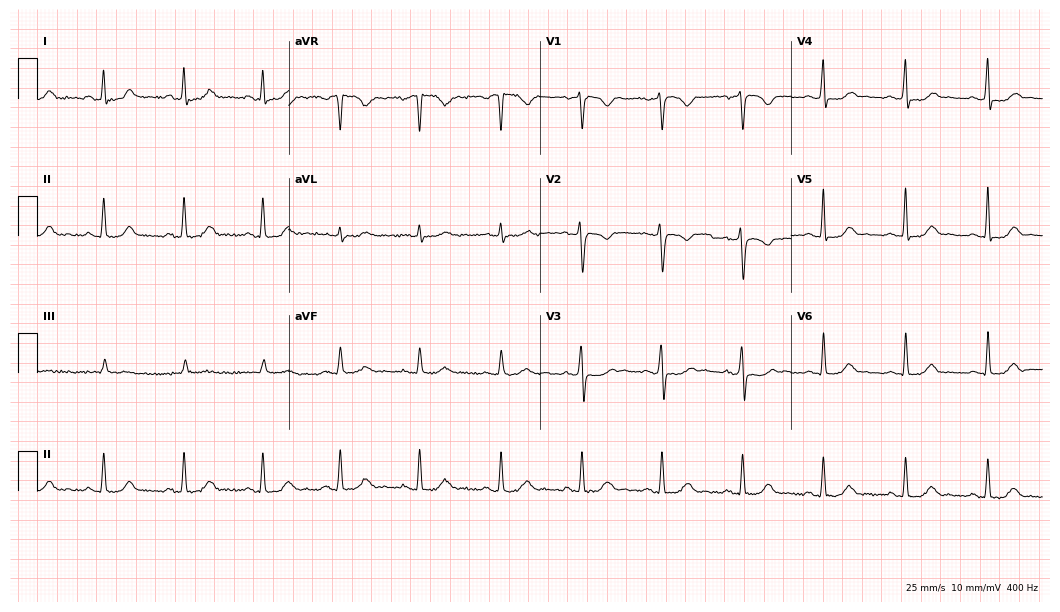
12-lead ECG from a 28-year-old female patient. Screened for six findings — first-degree AV block, right bundle branch block, left bundle branch block, sinus bradycardia, atrial fibrillation, sinus tachycardia — none is recorded. Findings outside these six are not listed.